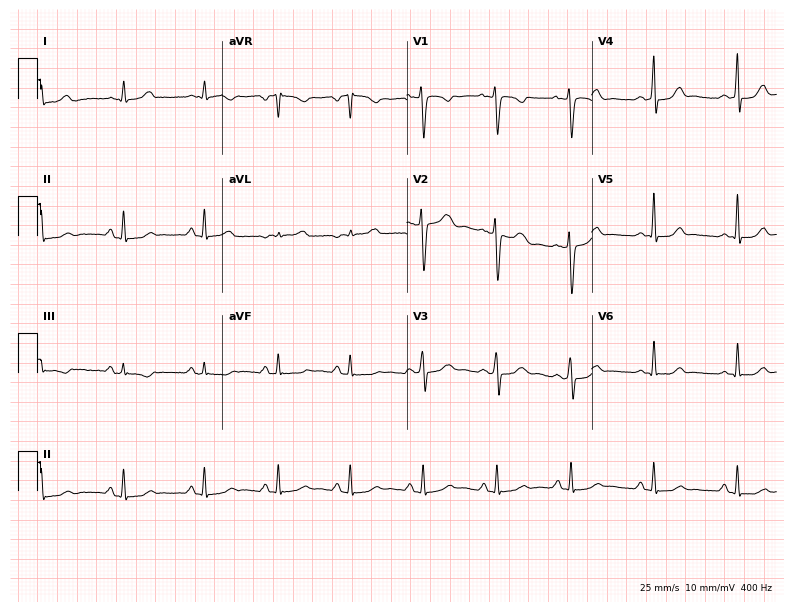
Resting 12-lead electrocardiogram (7.5-second recording at 400 Hz). Patient: a female, 27 years old. Read as a normal ECG.